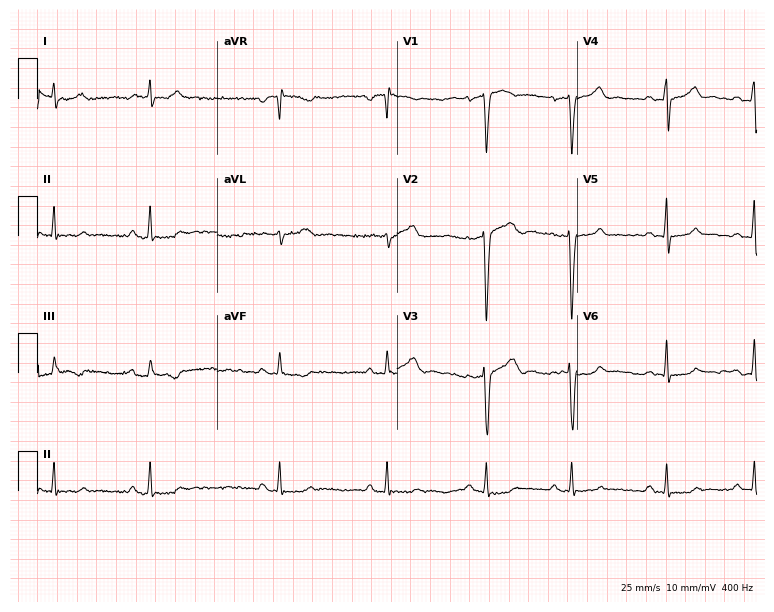
Standard 12-lead ECG recorded from a 41-year-old male. Read as a normal ECG.